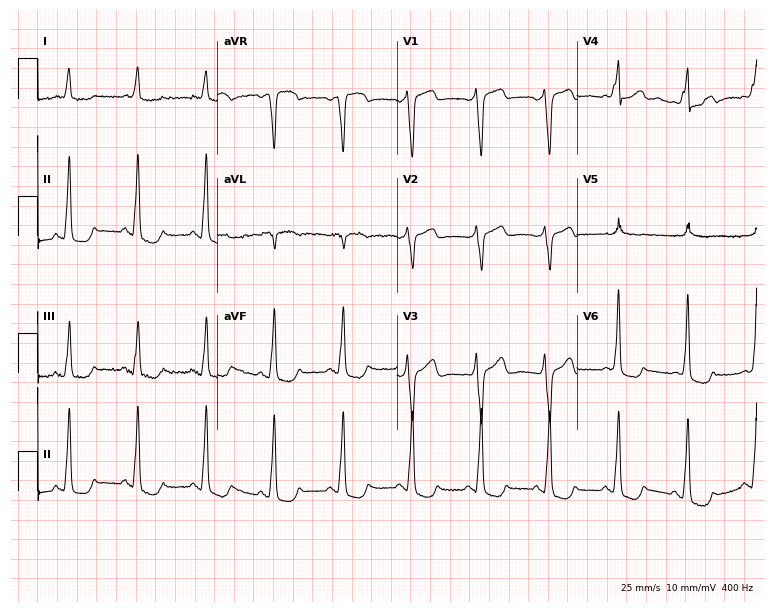
12-lead ECG from a 68-year-old male patient (7.3-second recording at 400 Hz). Shows left bundle branch block.